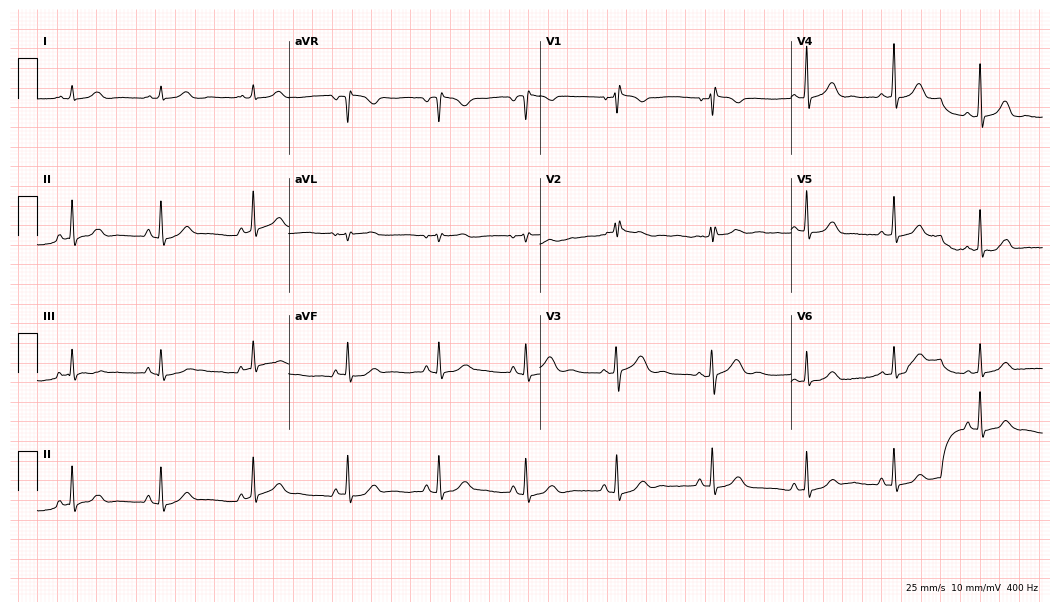
Electrocardiogram (10.2-second recording at 400 Hz), a woman, 34 years old. Overall reading on record: normal ECG.